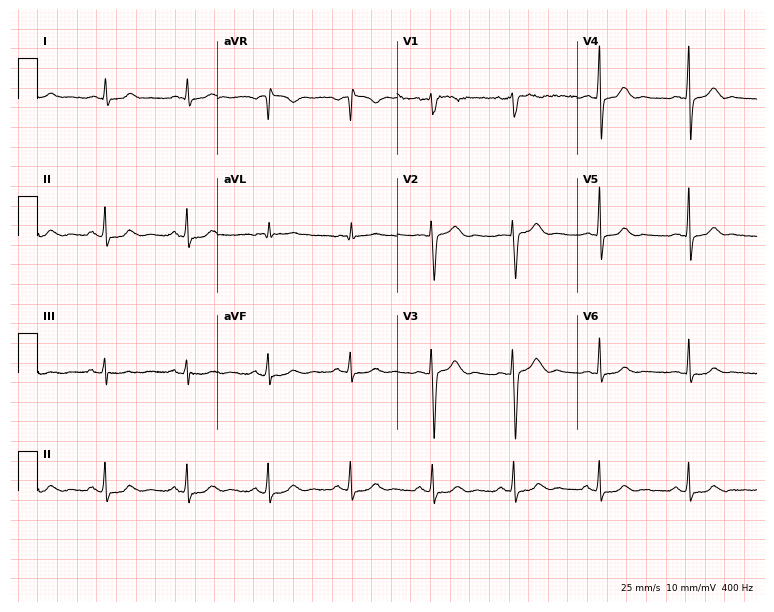
12-lead ECG from a 37-year-old female patient. Labelled as a normal ECG.